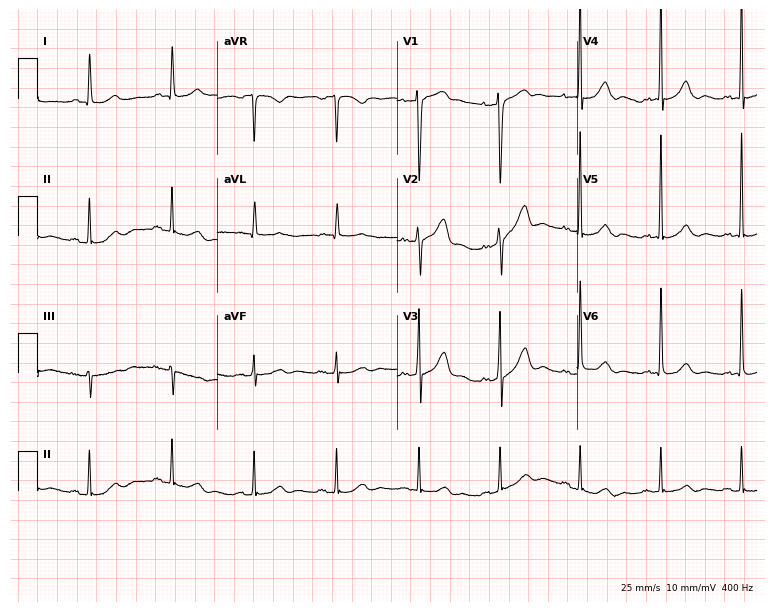
Electrocardiogram (7.3-second recording at 400 Hz), a 57-year-old female patient. Overall reading on record: normal ECG.